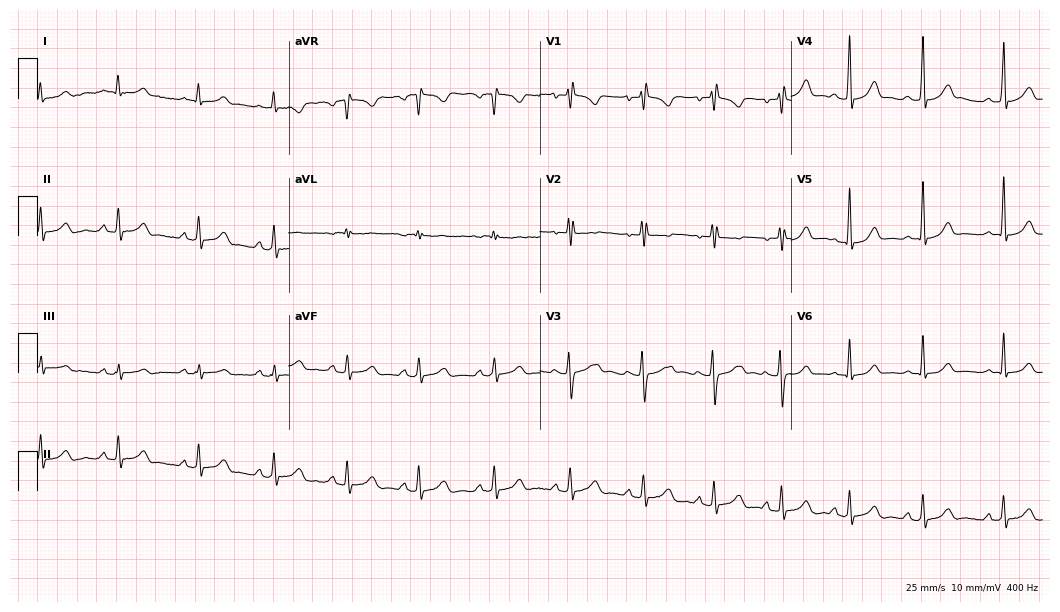
Standard 12-lead ECG recorded from a 17-year-old woman (10.2-second recording at 400 Hz). None of these six findings is recorded: first-degree AV block, right bundle branch block, left bundle branch block, sinus bradycardia, atrial fibrillation, sinus tachycardia. Findings outside these six are not listed.